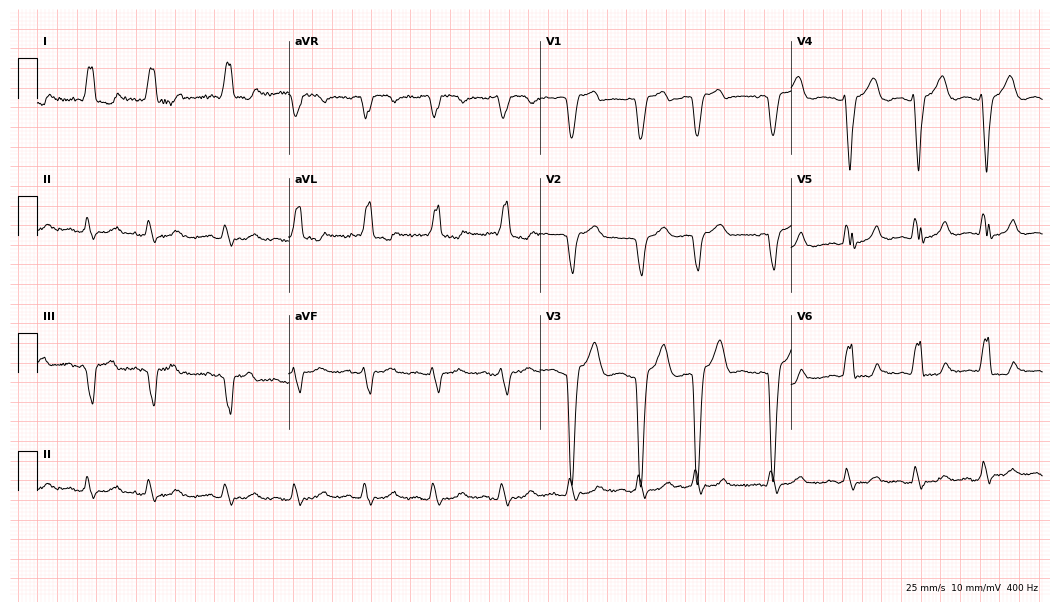
Electrocardiogram (10.2-second recording at 400 Hz), a woman, 75 years old. Interpretation includes left bundle branch block.